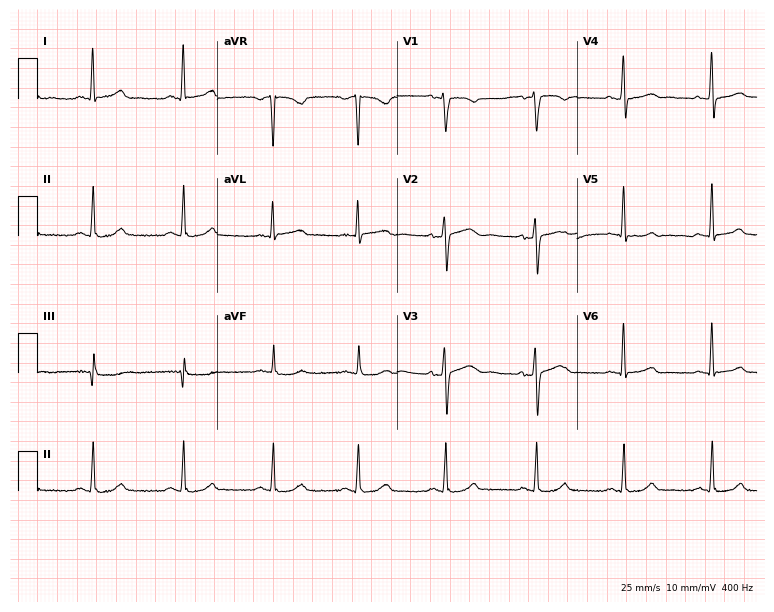
12-lead ECG from a 50-year-old woman. Recorded interpretation: within normal limits.